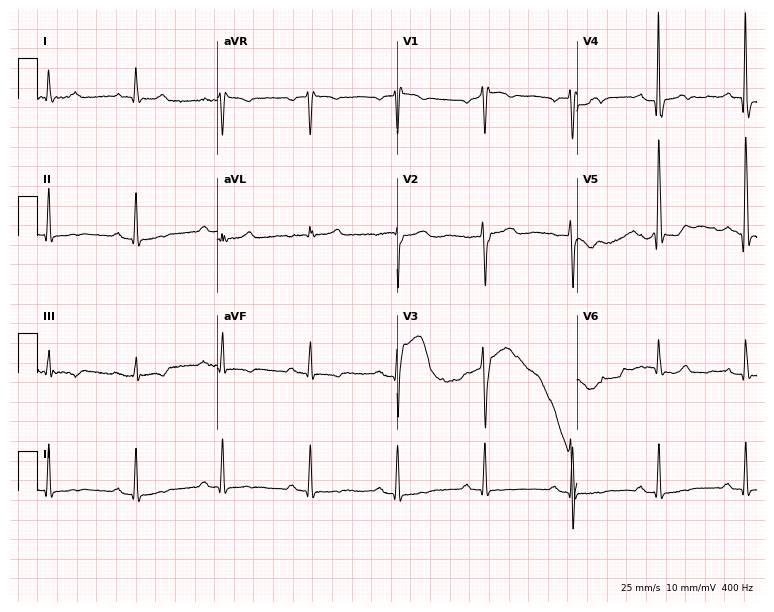
Electrocardiogram, an 84-year-old female patient. Of the six screened findings (first-degree AV block, right bundle branch block (RBBB), left bundle branch block (LBBB), sinus bradycardia, atrial fibrillation (AF), sinus tachycardia), none is recorded.